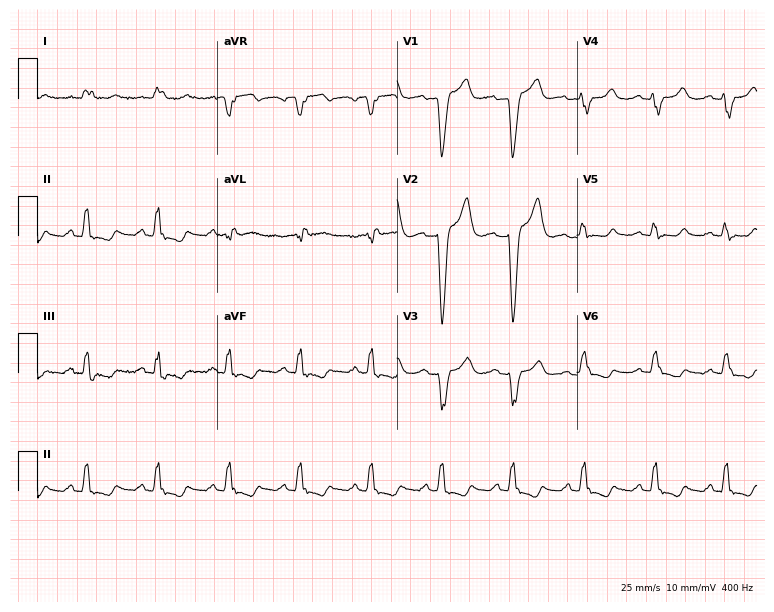
Resting 12-lead electrocardiogram (7.3-second recording at 400 Hz). Patient: a 77-year-old female. The tracing shows left bundle branch block.